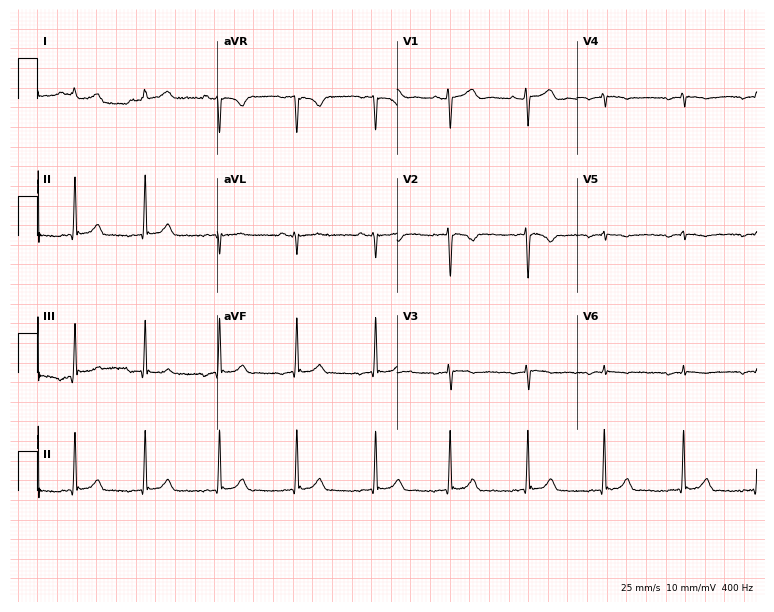
12-lead ECG (7.3-second recording at 400 Hz) from a 22-year-old female patient. Screened for six findings — first-degree AV block, right bundle branch block, left bundle branch block, sinus bradycardia, atrial fibrillation, sinus tachycardia — none is recorded.